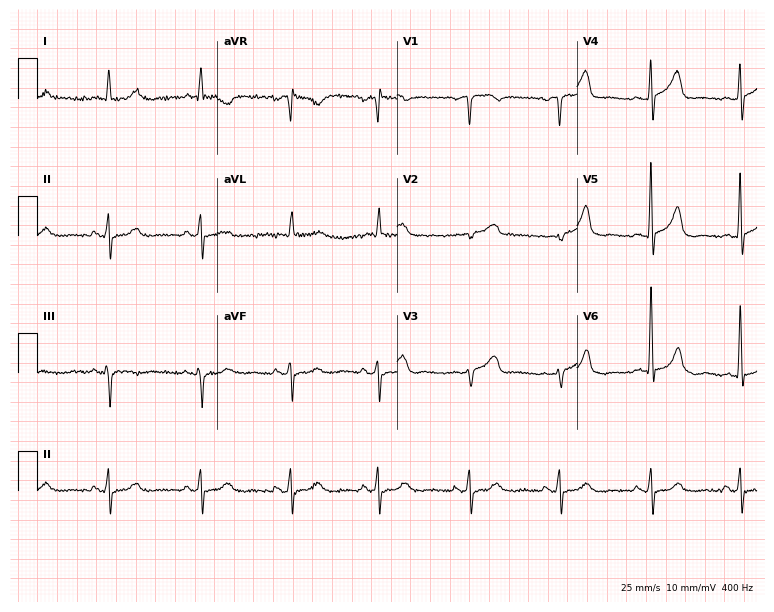
ECG (7.3-second recording at 400 Hz) — a male, 74 years old. Screened for six findings — first-degree AV block, right bundle branch block, left bundle branch block, sinus bradycardia, atrial fibrillation, sinus tachycardia — none is recorded.